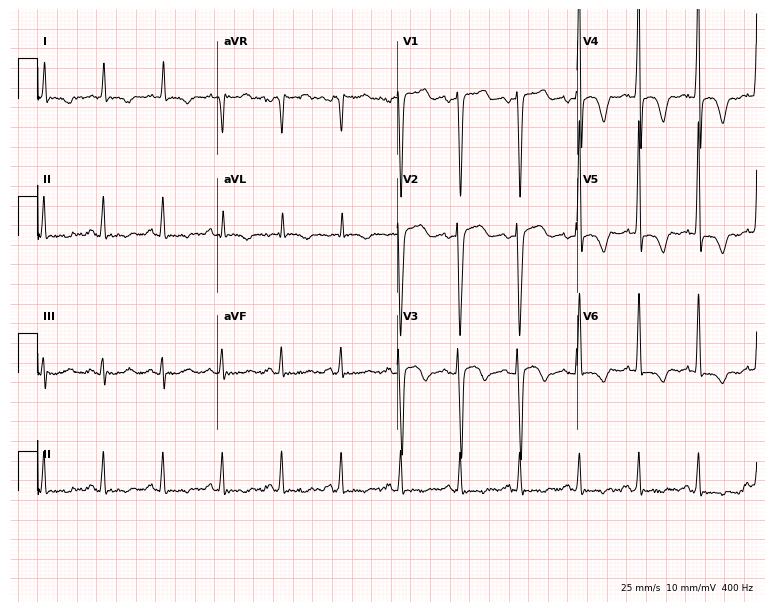
12-lead ECG (7.3-second recording at 400 Hz) from a 63-year-old male patient. Labelled as a normal ECG.